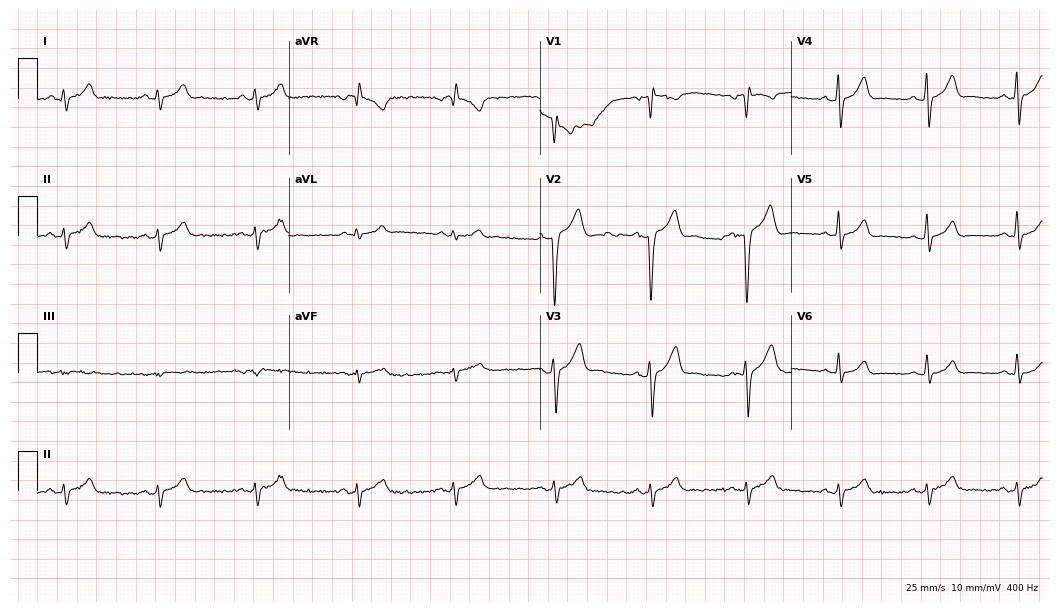
12-lead ECG from a male, 28 years old. No first-degree AV block, right bundle branch block, left bundle branch block, sinus bradycardia, atrial fibrillation or sinus tachycardia recorded for this tracing. Only these six findings were labelled.